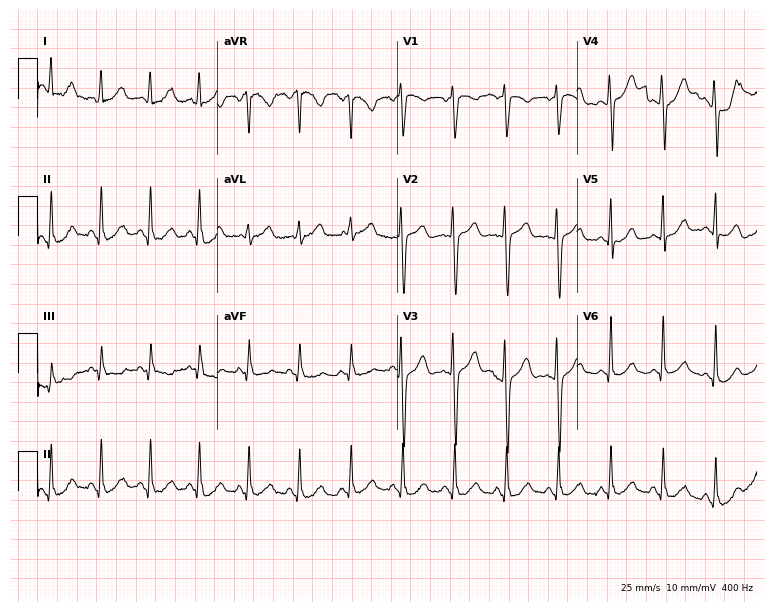
12-lead ECG from a woman, 27 years old. Shows sinus tachycardia (a sinus rate of 100 beats per minute or more).